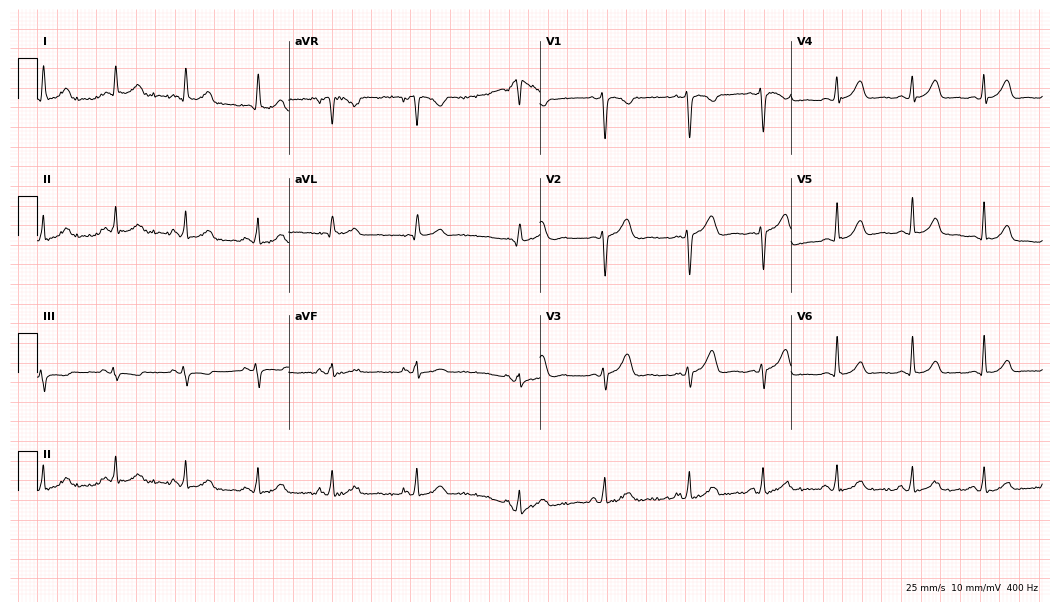
Standard 12-lead ECG recorded from a 31-year-old female (10.2-second recording at 400 Hz). Read as a normal ECG.